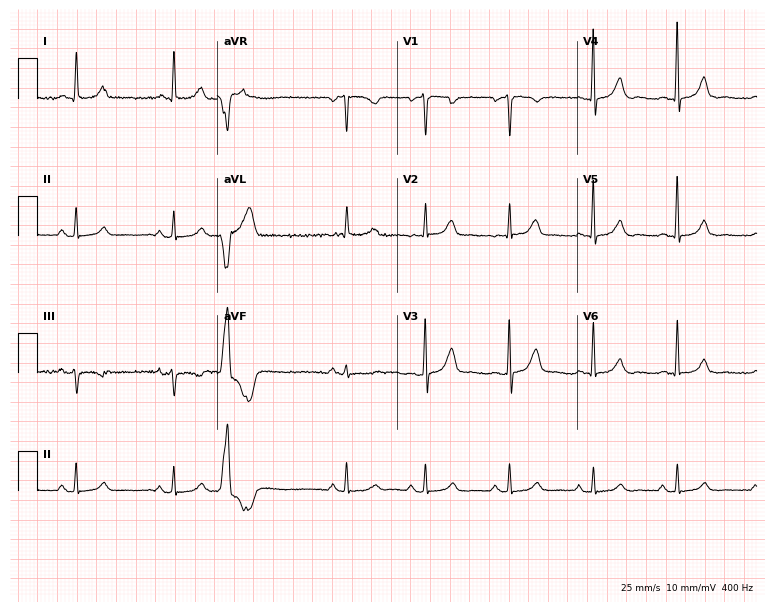
Electrocardiogram (7.3-second recording at 400 Hz), a 49-year-old woman. Overall reading on record: normal ECG.